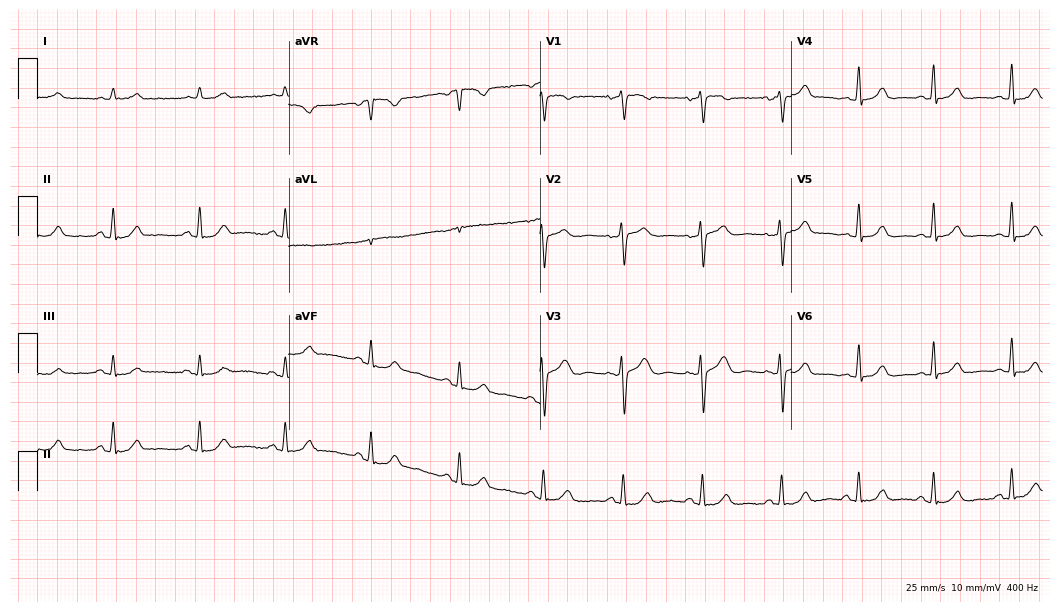
Resting 12-lead electrocardiogram (10.2-second recording at 400 Hz). Patient: a female, 52 years old. Read as a normal ECG.